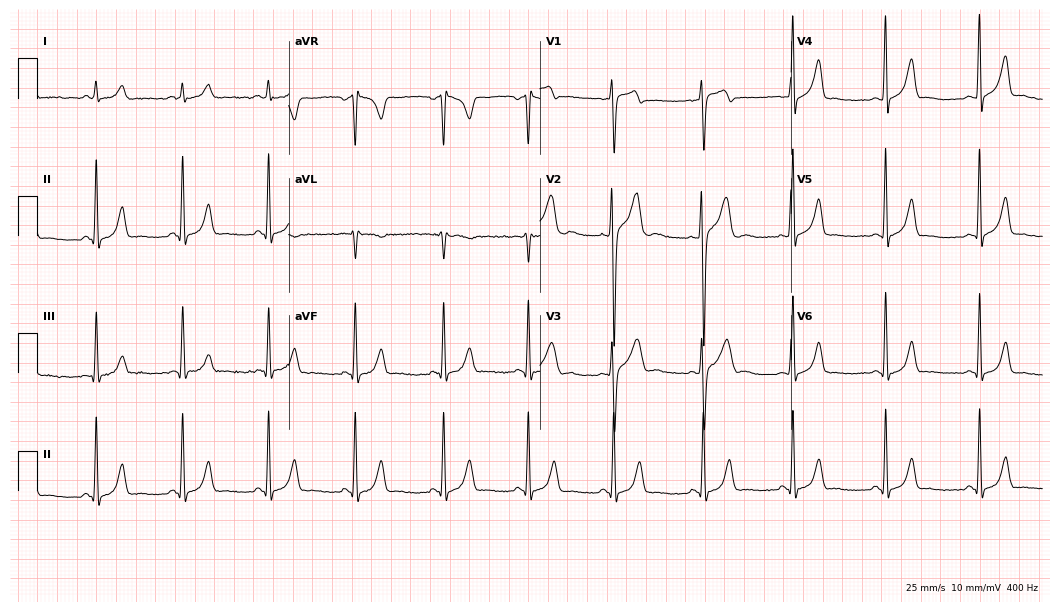
12-lead ECG (10.2-second recording at 400 Hz) from a male, 21 years old. Labelled as a normal ECG.